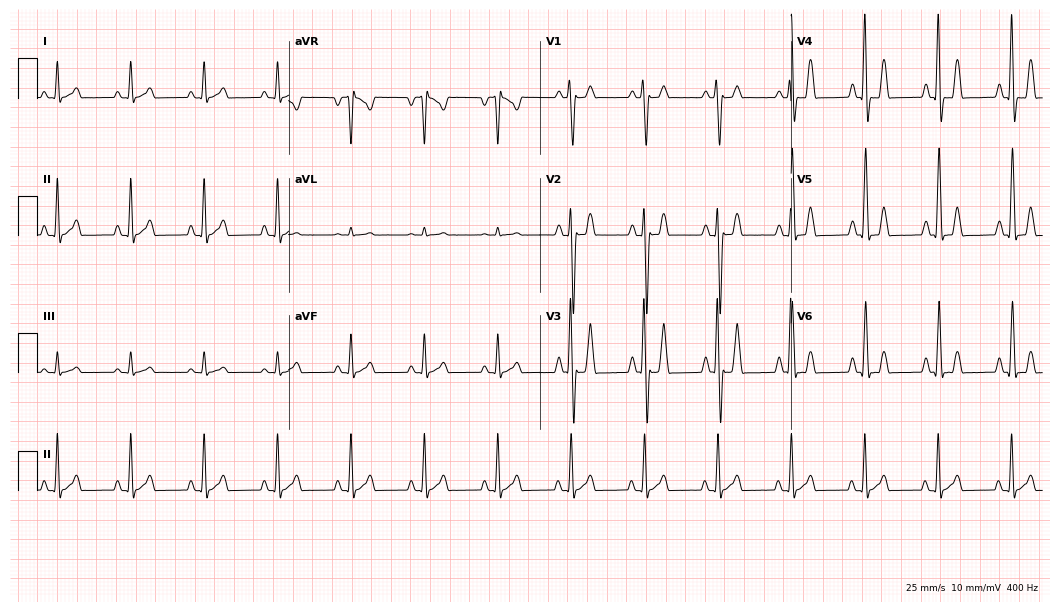
ECG — a 34-year-old male. Screened for six findings — first-degree AV block, right bundle branch block, left bundle branch block, sinus bradycardia, atrial fibrillation, sinus tachycardia — none is recorded. Other findings, if any, are not listed.